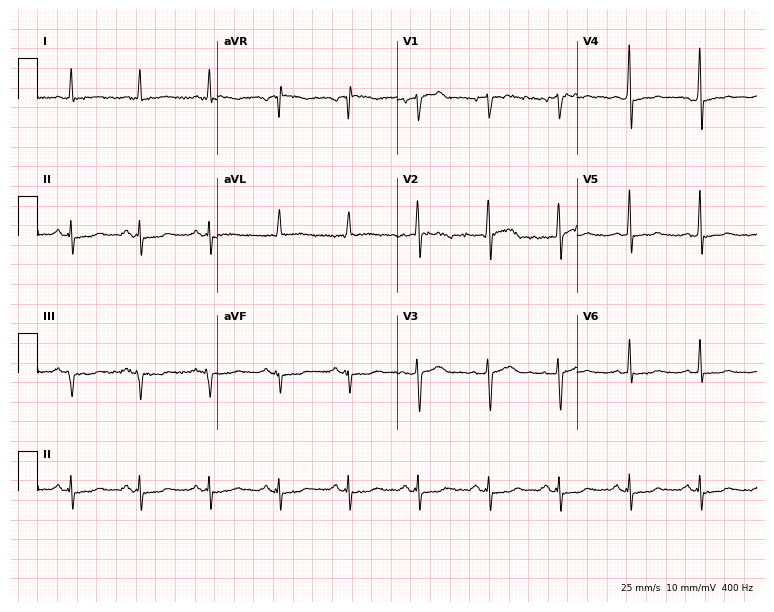
Resting 12-lead electrocardiogram. Patient: an 81-year-old male. None of these six findings is recorded: first-degree AV block, right bundle branch block (RBBB), left bundle branch block (LBBB), sinus bradycardia, atrial fibrillation (AF), sinus tachycardia.